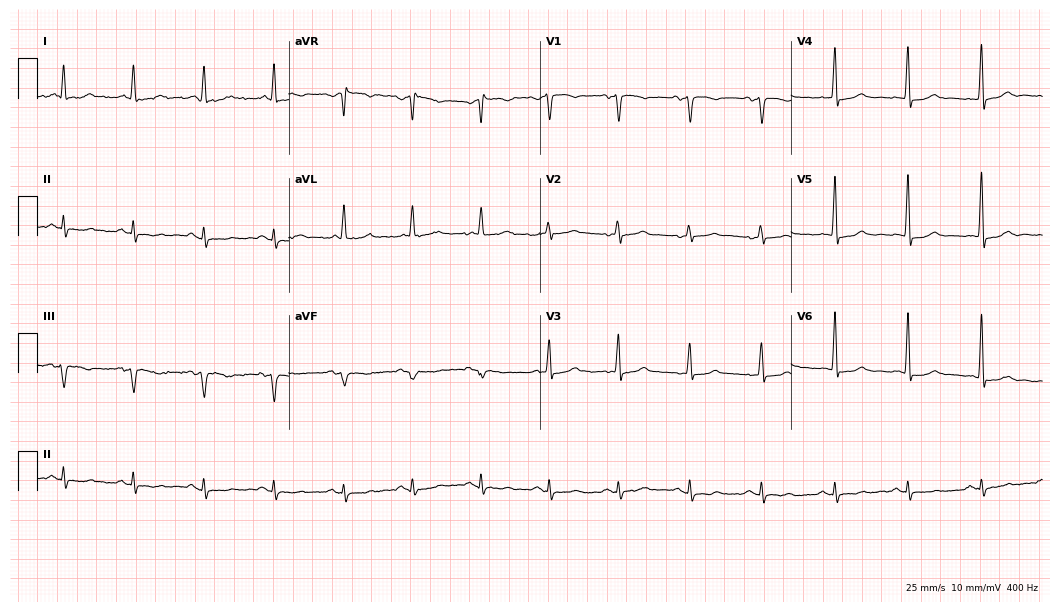
Resting 12-lead electrocardiogram (10.2-second recording at 400 Hz). Patient: a 62-year-old woman. None of these six findings is recorded: first-degree AV block, right bundle branch block, left bundle branch block, sinus bradycardia, atrial fibrillation, sinus tachycardia. Only these six findings were labelled.